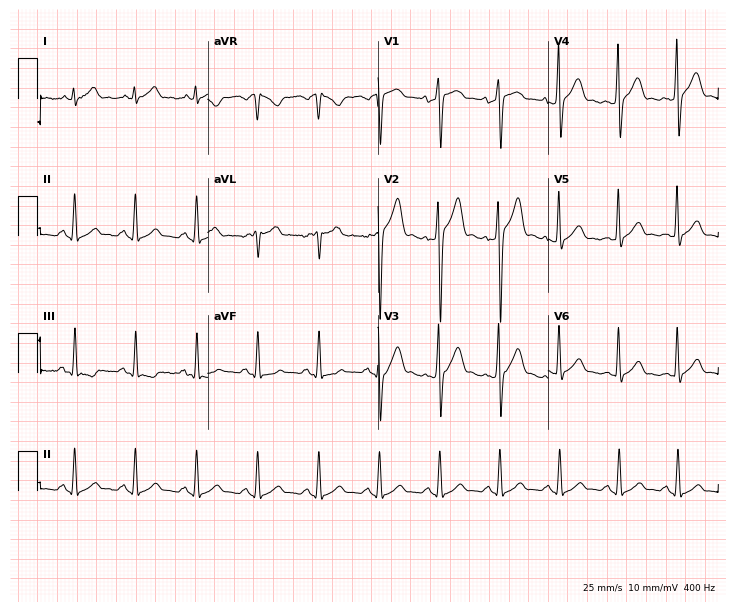
ECG (6.9-second recording at 400 Hz) — a 22-year-old man. Screened for six findings — first-degree AV block, right bundle branch block (RBBB), left bundle branch block (LBBB), sinus bradycardia, atrial fibrillation (AF), sinus tachycardia — none is recorded.